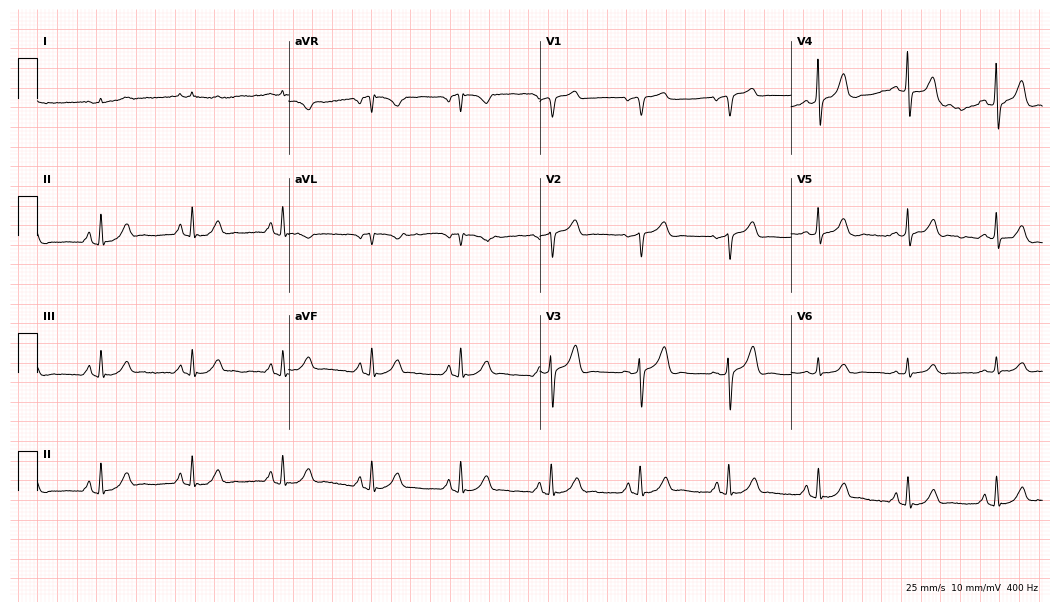
Standard 12-lead ECG recorded from an 83-year-old male (10.2-second recording at 400 Hz). None of these six findings is recorded: first-degree AV block, right bundle branch block, left bundle branch block, sinus bradycardia, atrial fibrillation, sinus tachycardia.